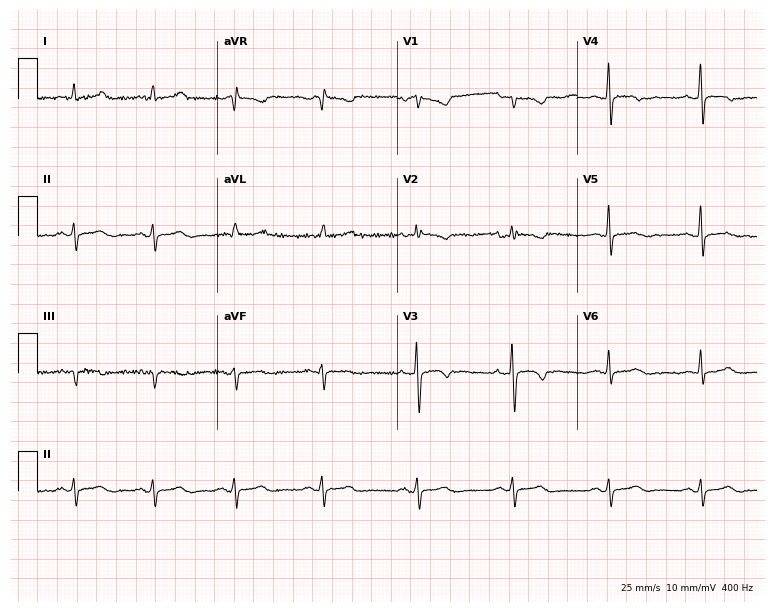
Standard 12-lead ECG recorded from a 39-year-old female patient (7.3-second recording at 400 Hz). None of these six findings is recorded: first-degree AV block, right bundle branch block (RBBB), left bundle branch block (LBBB), sinus bradycardia, atrial fibrillation (AF), sinus tachycardia.